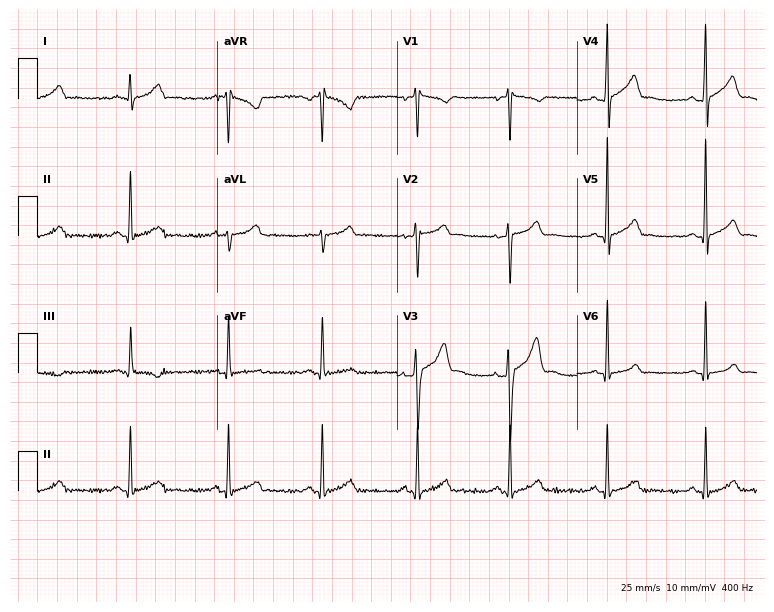
12-lead ECG from a 24-year-old male patient. Labelled as a normal ECG.